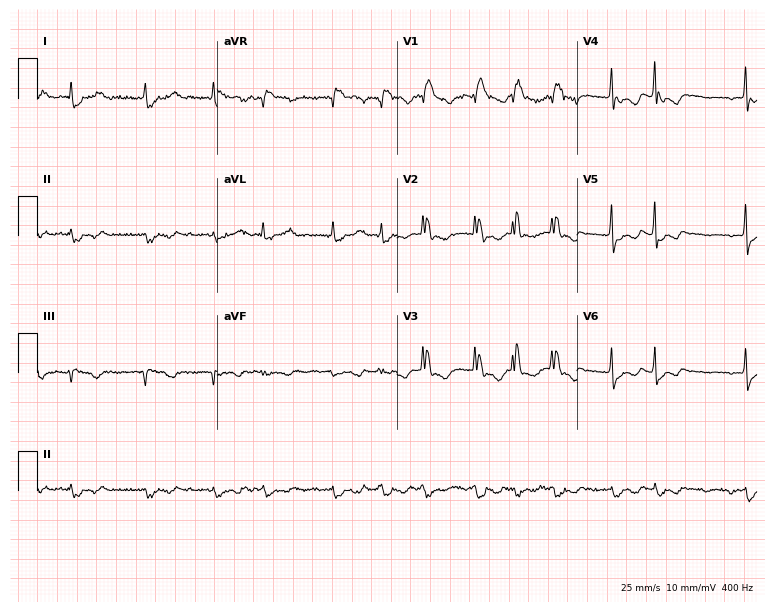
Resting 12-lead electrocardiogram (7.3-second recording at 400 Hz). Patient: a female, 65 years old. The tracing shows right bundle branch block, atrial fibrillation.